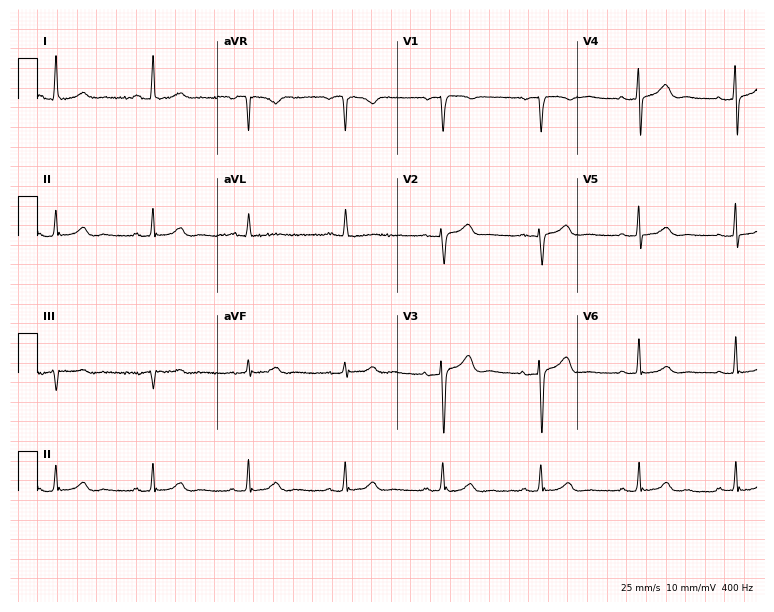
Resting 12-lead electrocardiogram (7.3-second recording at 400 Hz). Patient: a 52-year-old female. Read as a normal ECG.